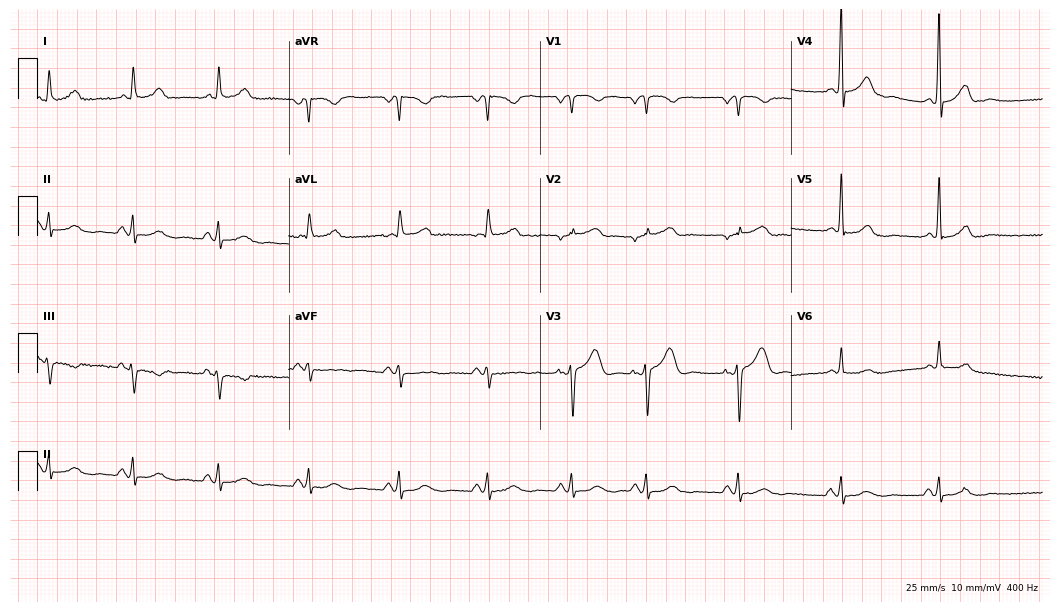
12-lead ECG from a 77-year-old female patient. Labelled as a normal ECG.